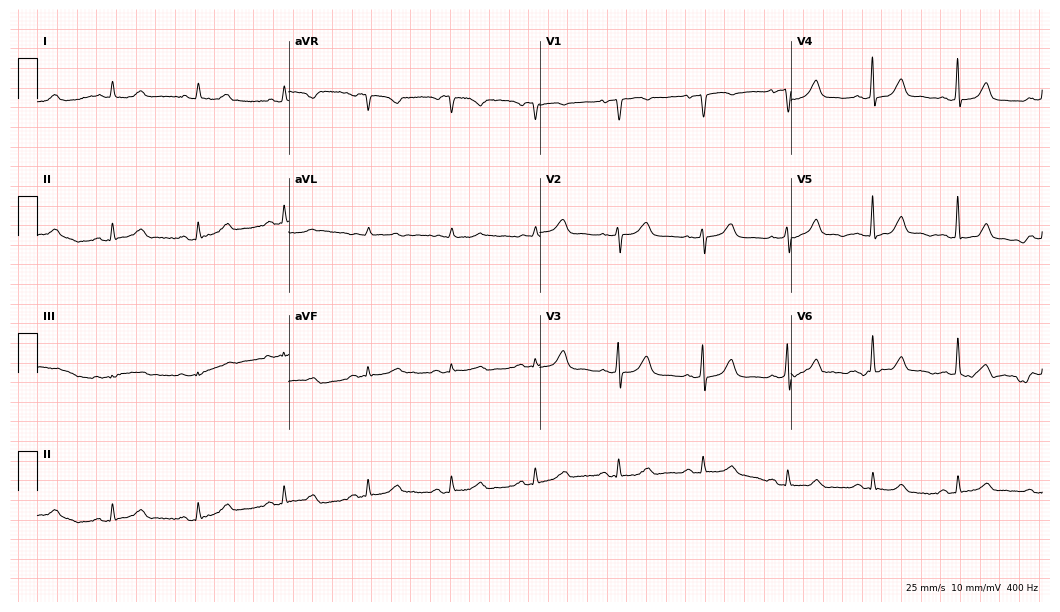
ECG (10.2-second recording at 400 Hz) — an 82-year-old female. Labelled as a normal ECG.